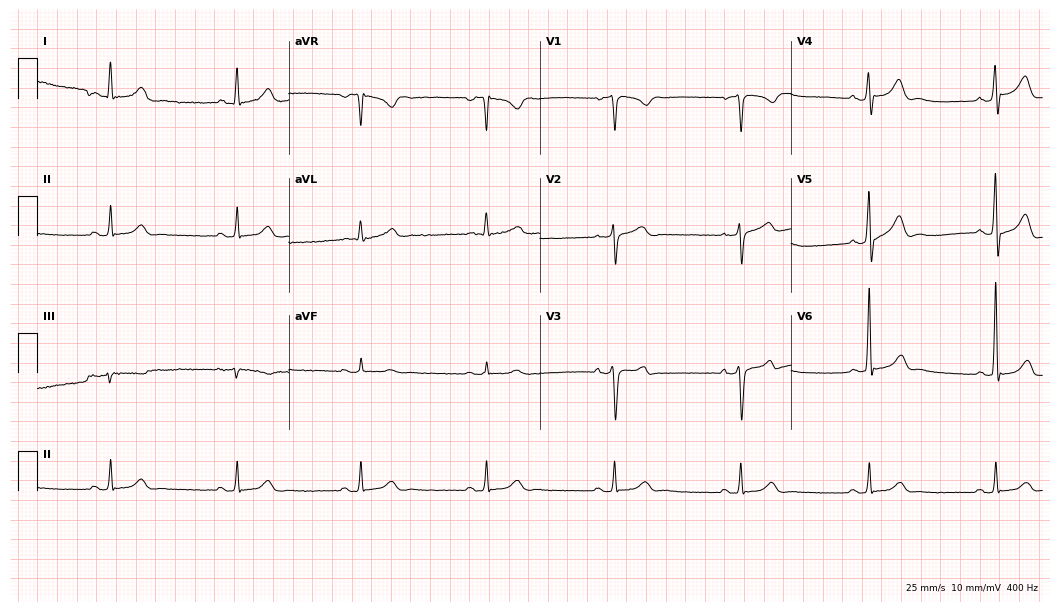
Standard 12-lead ECG recorded from a 50-year-old man. The tracing shows sinus bradycardia (a sinus rate of 50 beats per minute or less).